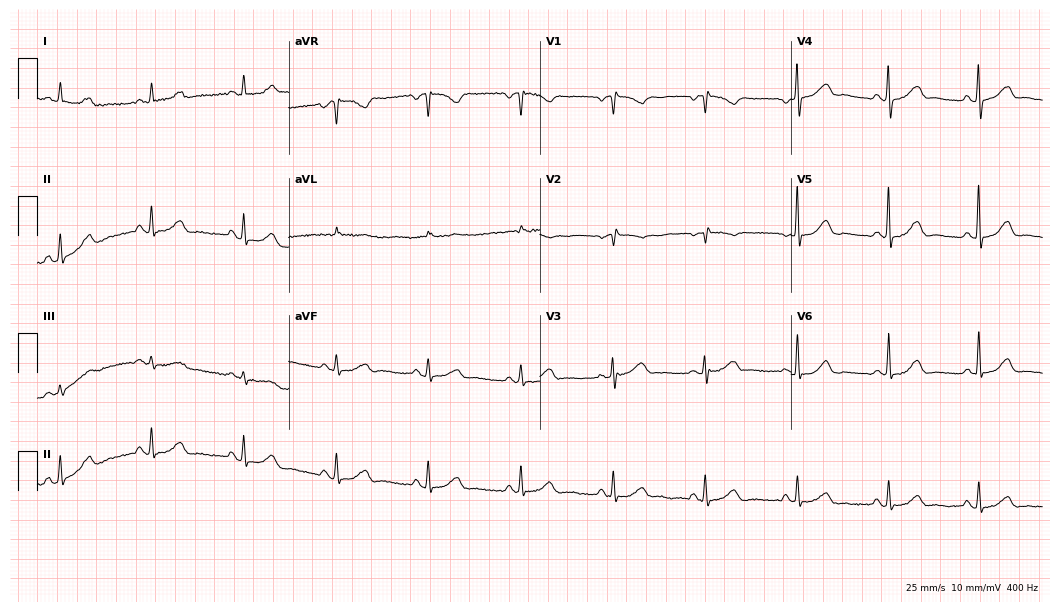
Electrocardiogram (10.2-second recording at 400 Hz), a female, 72 years old. Of the six screened findings (first-degree AV block, right bundle branch block, left bundle branch block, sinus bradycardia, atrial fibrillation, sinus tachycardia), none is recorded.